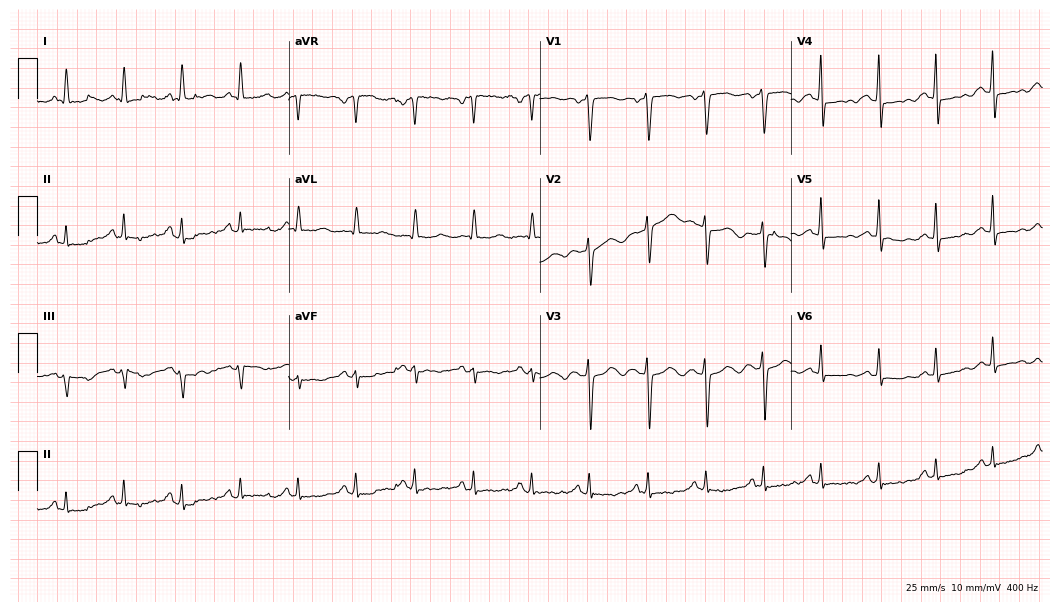
12-lead ECG from a female patient, 44 years old (10.2-second recording at 400 Hz). No first-degree AV block, right bundle branch block (RBBB), left bundle branch block (LBBB), sinus bradycardia, atrial fibrillation (AF) or sinus tachycardia recorded for this tracing. Only these six findings were labelled.